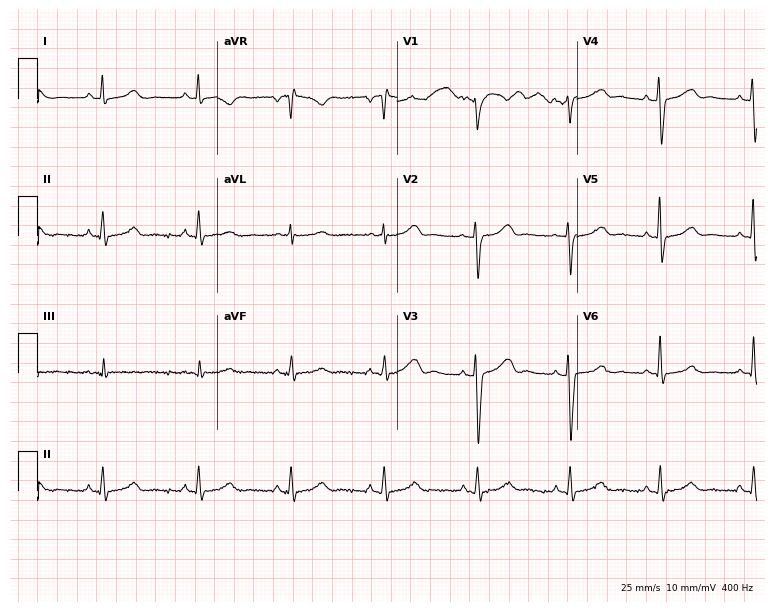
12-lead ECG (7.3-second recording at 400 Hz) from a female, 38 years old. Screened for six findings — first-degree AV block, right bundle branch block, left bundle branch block, sinus bradycardia, atrial fibrillation, sinus tachycardia — none is recorded. Findings outside these six are not listed.